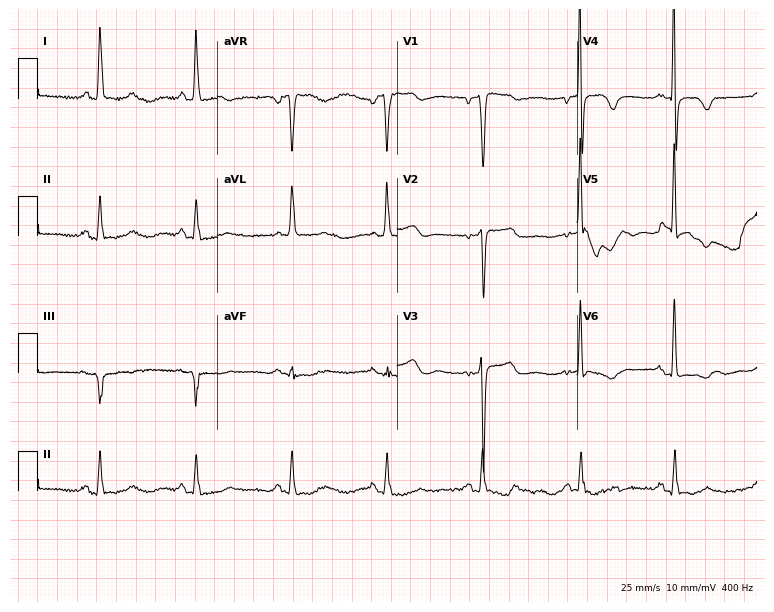
12-lead ECG from a female patient, 69 years old (7.3-second recording at 400 Hz). No first-degree AV block, right bundle branch block, left bundle branch block, sinus bradycardia, atrial fibrillation or sinus tachycardia recorded for this tracing.